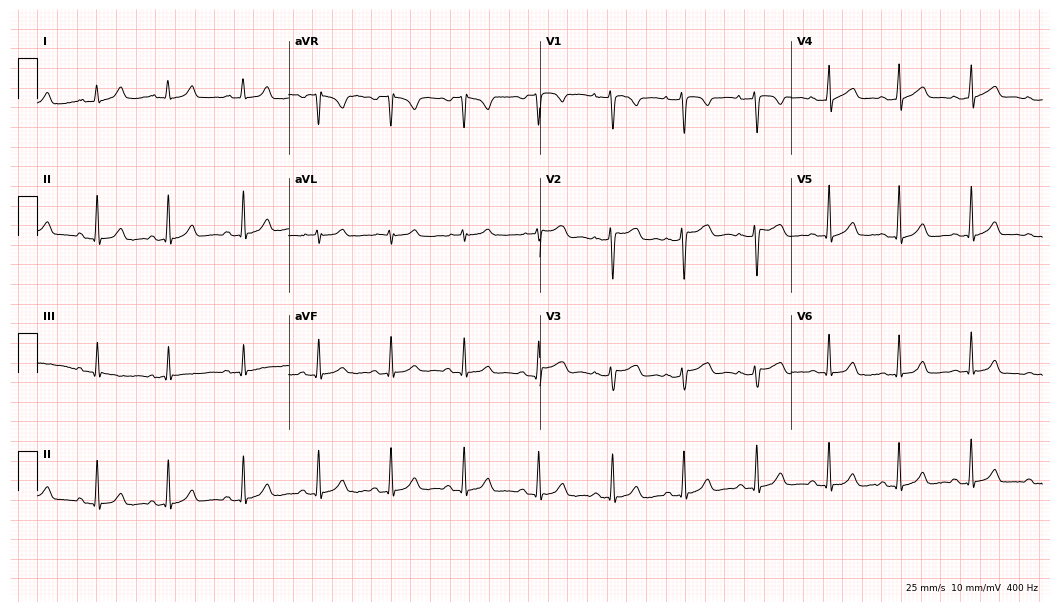
ECG (10.2-second recording at 400 Hz) — a 20-year-old female patient. Labelled as a normal ECG.